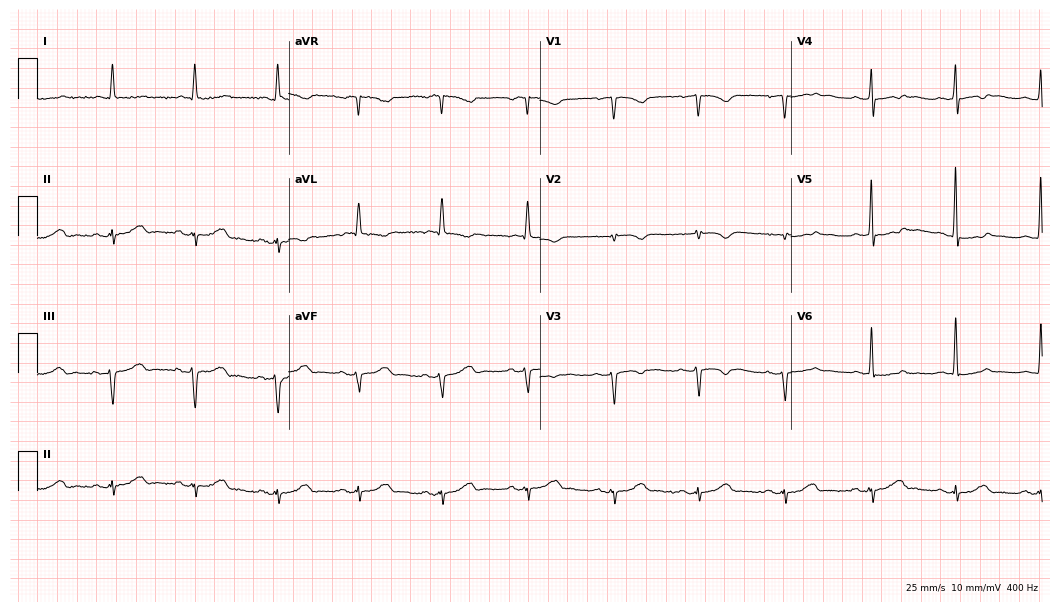
12-lead ECG from a woman, 85 years old (10.2-second recording at 400 Hz). Recorded interpretation: within normal limits.